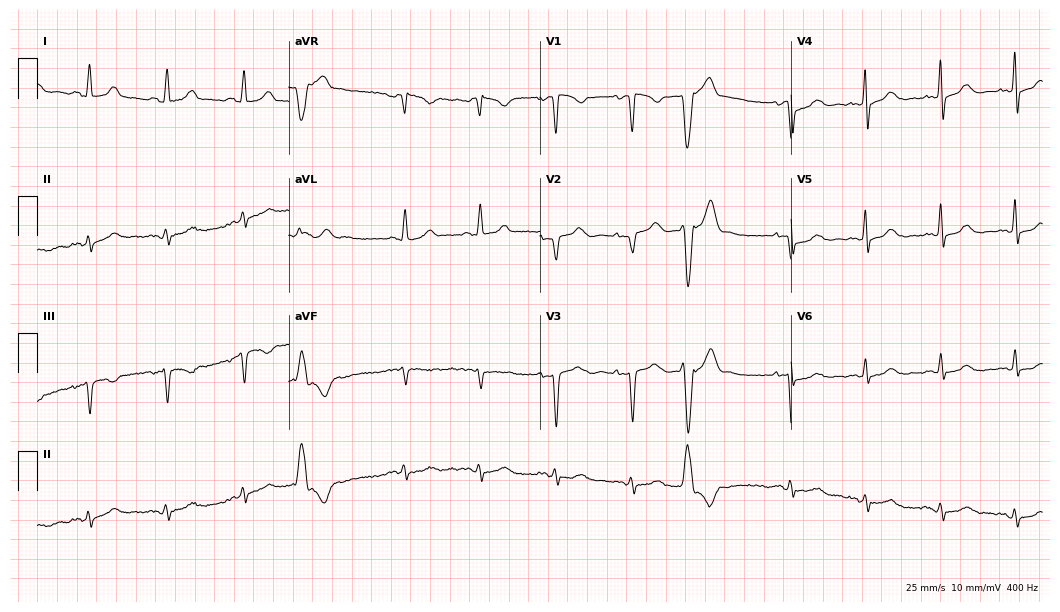
12-lead ECG from a 45-year-old female (10.2-second recording at 400 Hz). No first-degree AV block, right bundle branch block, left bundle branch block, sinus bradycardia, atrial fibrillation or sinus tachycardia recorded for this tracing.